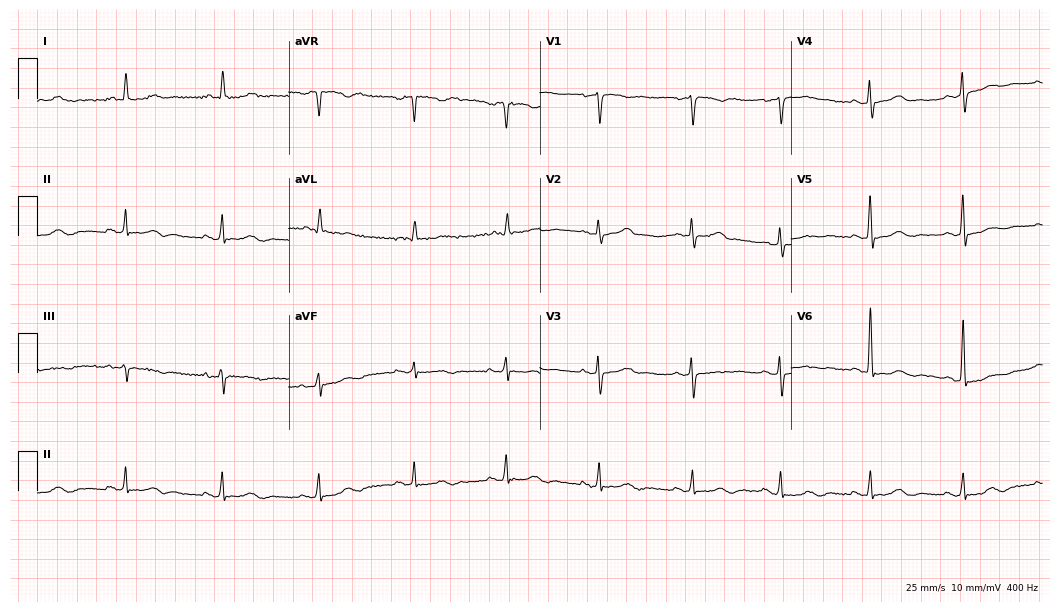
12-lead ECG from a woman, 70 years old (10.2-second recording at 400 Hz). Recorded interpretation: within normal limits.